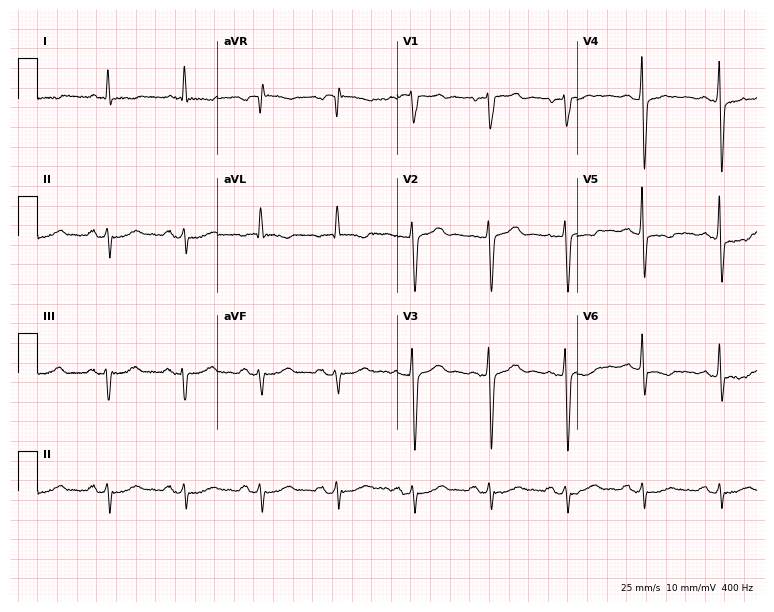
12-lead ECG (7.3-second recording at 400 Hz) from a man, 69 years old. Screened for six findings — first-degree AV block, right bundle branch block, left bundle branch block, sinus bradycardia, atrial fibrillation, sinus tachycardia — none is recorded. Other findings, if any, are not listed.